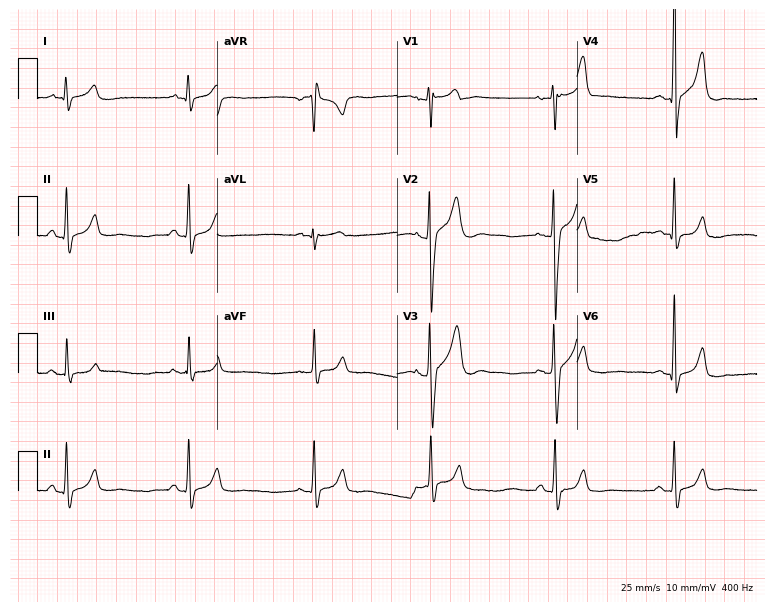
Electrocardiogram (7.3-second recording at 400 Hz), a male, 20 years old. Interpretation includes sinus bradycardia (a sinus rate of 50 beats per minute or less).